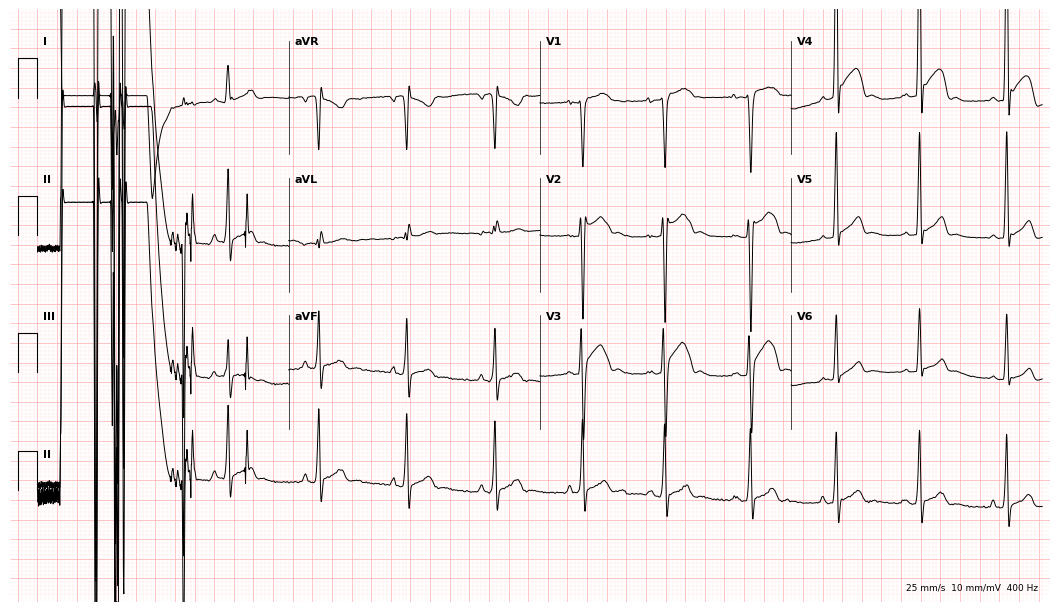
Resting 12-lead electrocardiogram (10.2-second recording at 400 Hz). Patient: an 18-year-old man. None of these six findings is recorded: first-degree AV block, right bundle branch block, left bundle branch block, sinus bradycardia, atrial fibrillation, sinus tachycardia. Only these six findings were labelled.